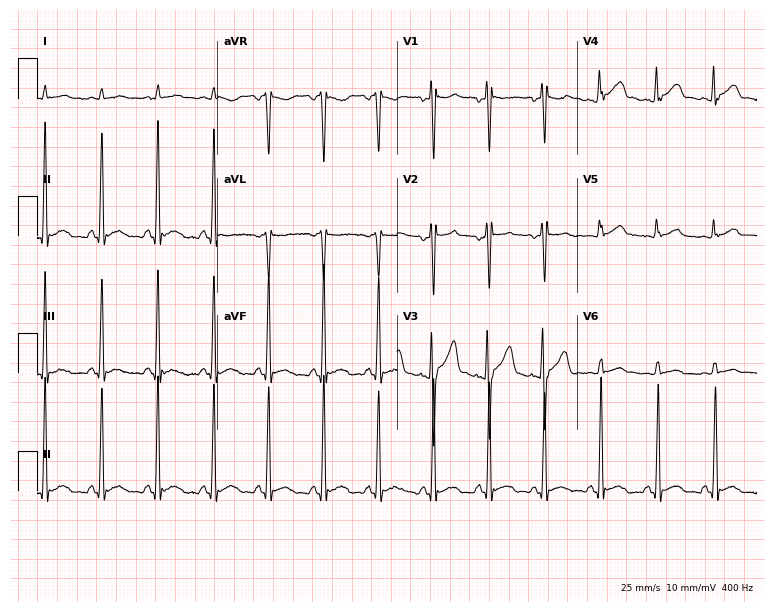
Resting 12-lead electrocardiogram (7.3-second recording at 400 Hz). Patient: a man, 36 years old. The tracing shows sinus tachycardia (a sinus rate of 100 beats per minute or more).